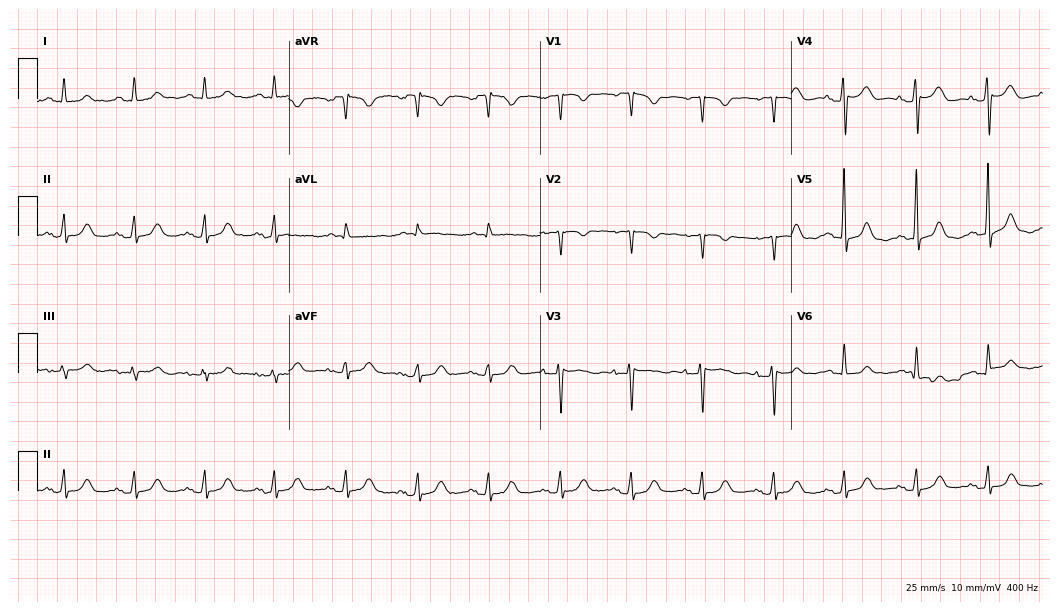
12-lead ECG (10.2-second recording at 400 Hz) from a 79-year-old female. Screened for six findings — first-degree AV block, right bundle branch block (RBBB), left bundle branch block (LBBB), sinus bradycardia, atrial fibrillation (AF), sinus tachycardia — none is recorded. Findings outside these six are not listed.